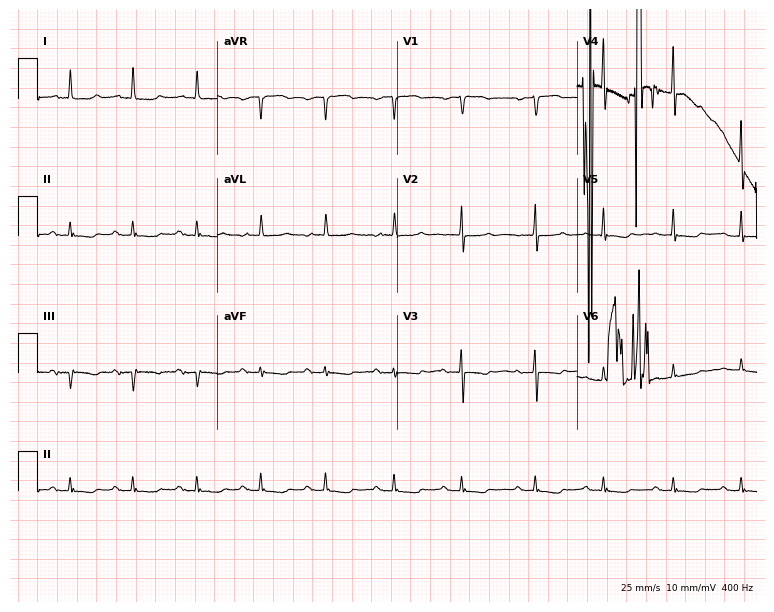
Resting 12-lead electrocardiogram (7.3-second recording at 400 Hz). Patient: a woman, 81 years old. None of these six findings is recorded: first-degree AV block, right bundle branch block, left bundle branch block, sinus bradycardia, atrial fibrillation, sinus tachycardia.